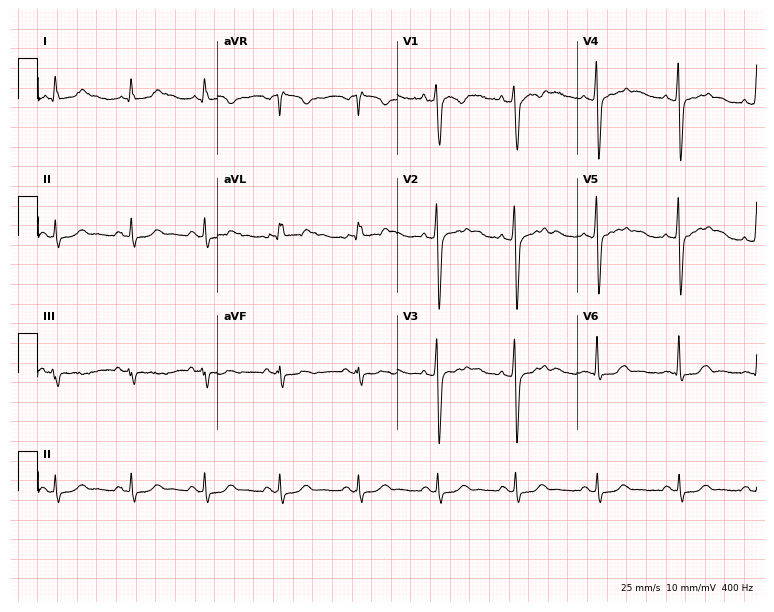
ECG (7.3-second recording at 400 Hz) — a 39-year-old male patient. Labelled as a normal ECG.